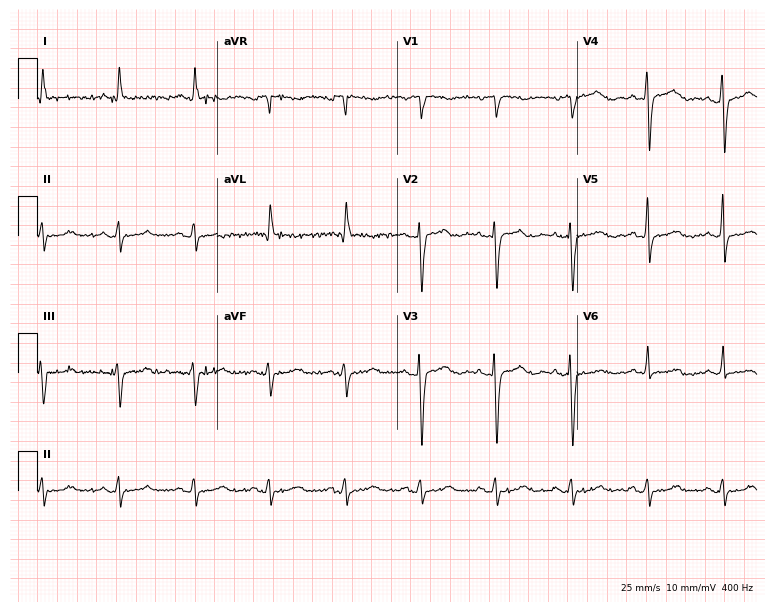
Standard 12-lead ECG recorded from a 60-year-old female patient. None of these six findings is recorded: first-degree AV block, right bundle branch block, left bundle branch block, sinus bradycardia, atrial fibrillation, sinus tachycardia.